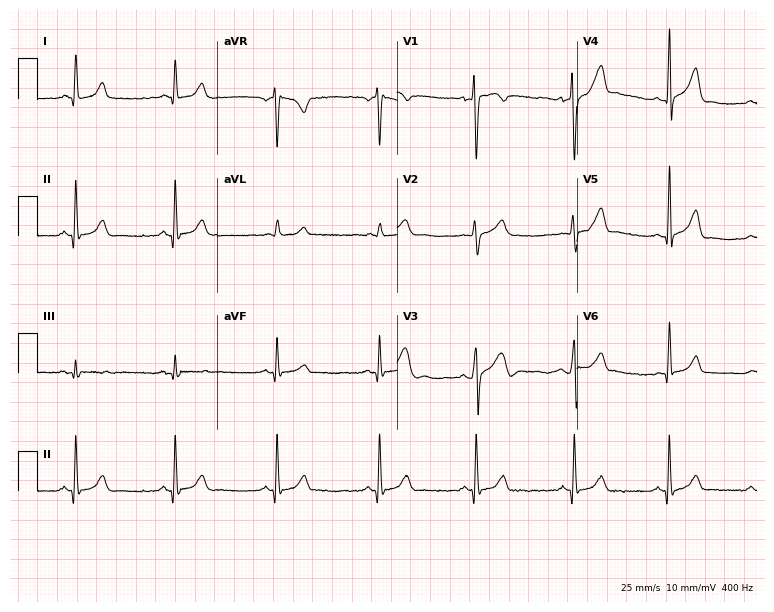
Electrocardiogram, a 38-year-old male. Overall reading on record: normal ECG.